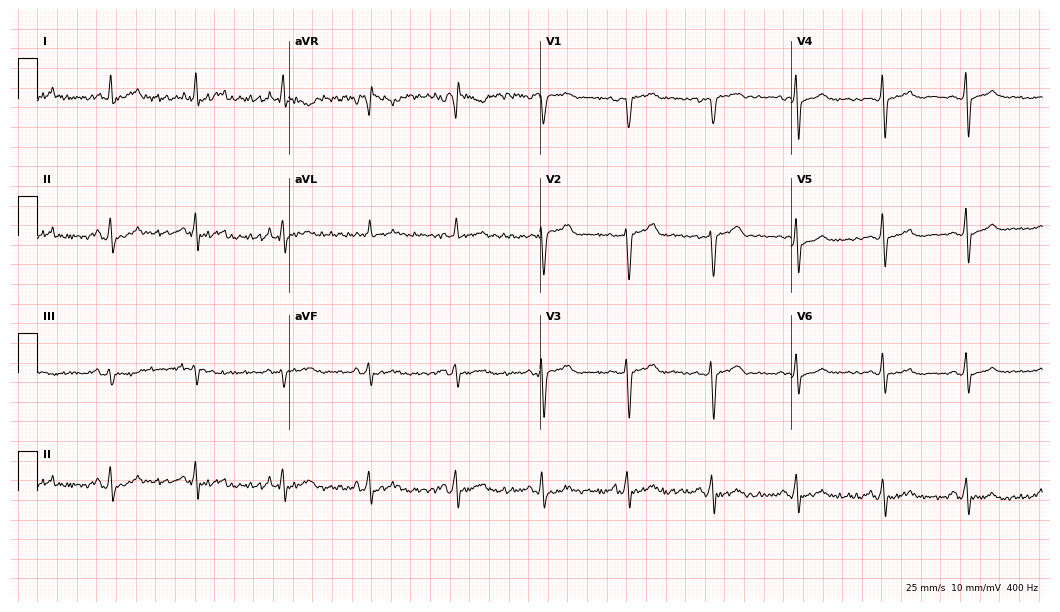
Standard 12-lead ECG recorded from a female, 53 years old. None of these six findings is recorded: first-degree AV block, right bundle branch block, left bundle branch block, sinus bradycardia, atrial fibrillation, sinus tachycardia. Findings outside these six are not listed.